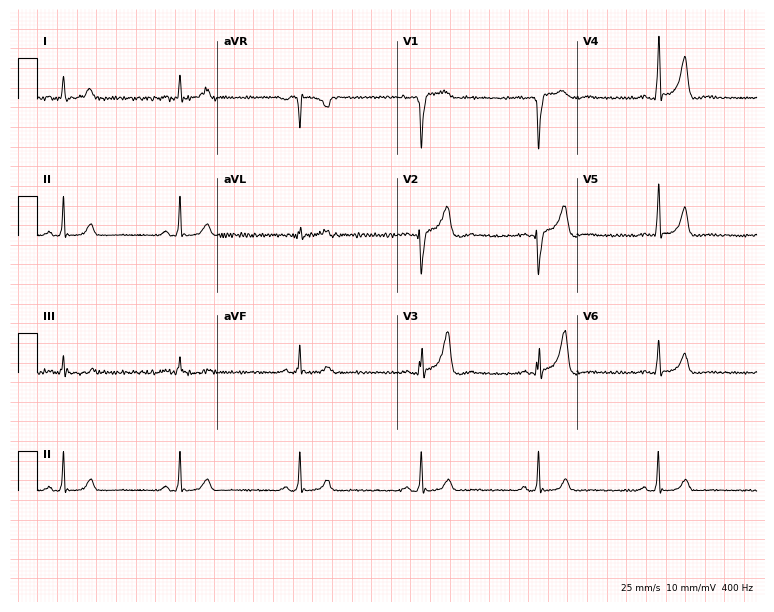
Standard 12-lead ECG recorded from a 29-year-old male patient. The tracing shows sinus bradycardia (a sinus rate of 50 beats per minute or less).